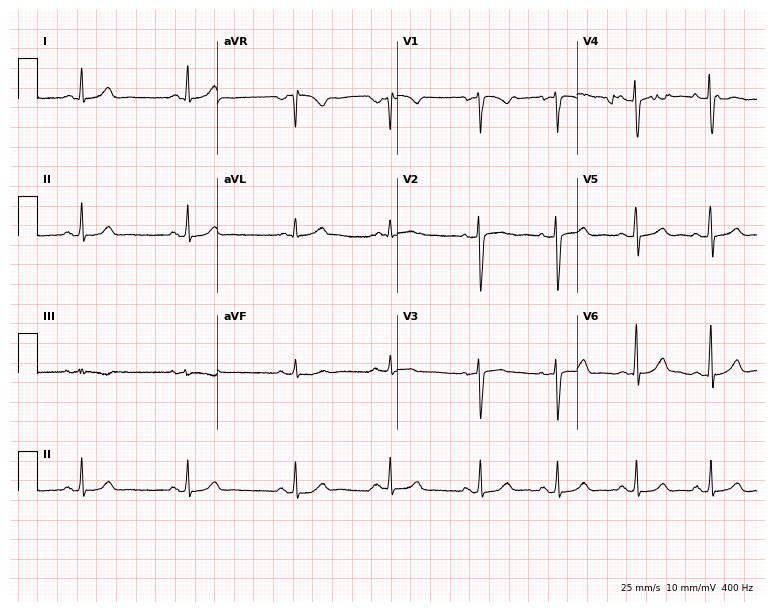
Electrocardiogram, a female, 36 years old. Overall reading on record: normal ECG.